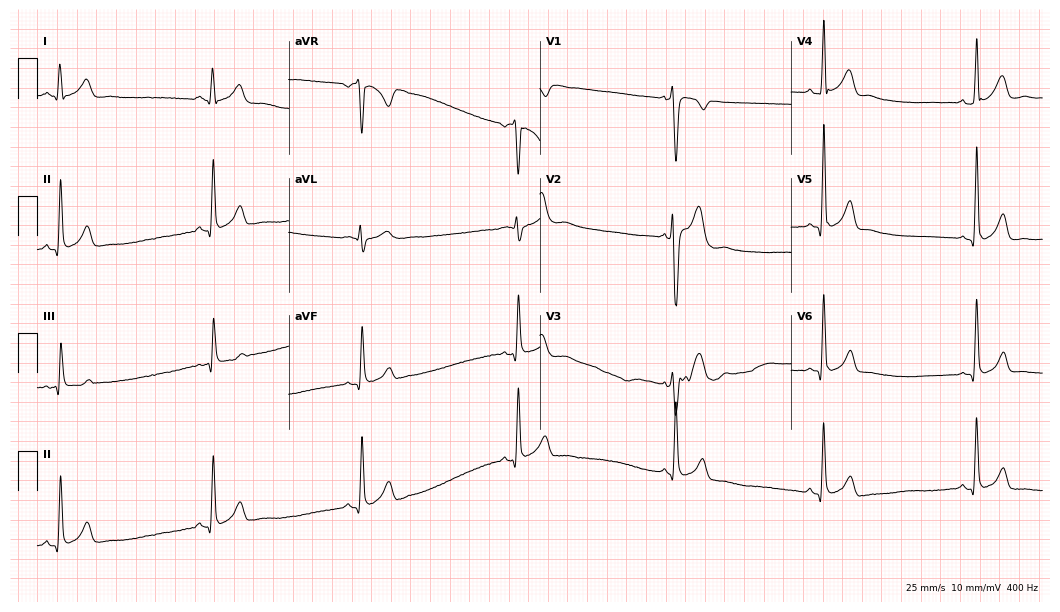
Resting 12-lead electrocardiogram. Patient: a 25-year-old male. The tracing shows sinus bradycardia (a sinus rate of 50 beats per minute or less).